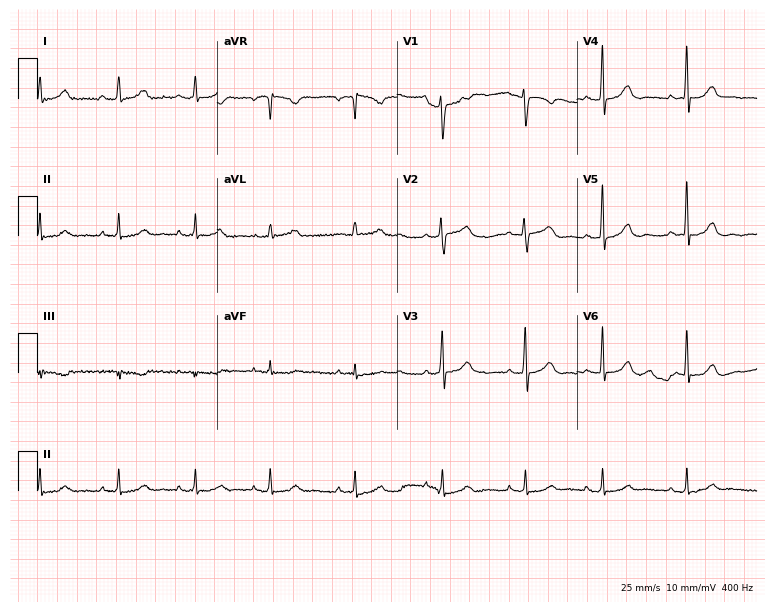
Standard 12-lead ECG recorded from a woman, 22 years old. Read as a normal ECG.